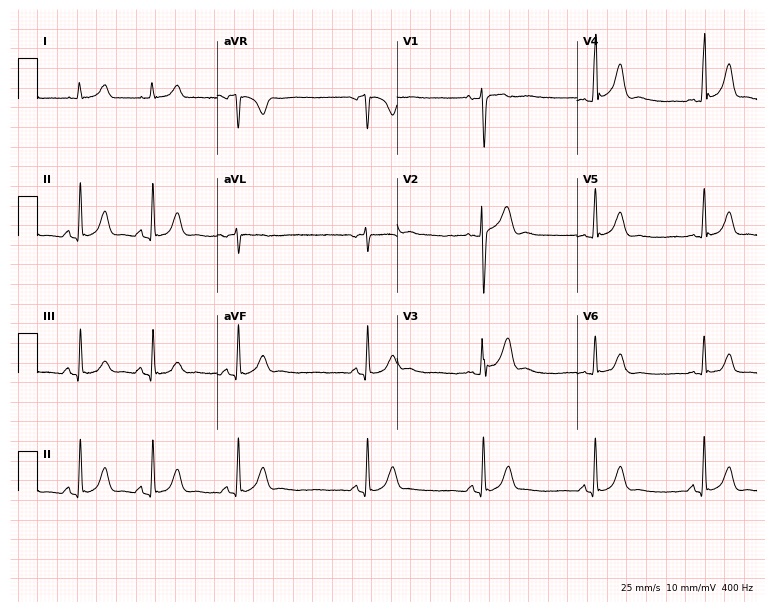
12-lead ECG from a man, 29 years old (7.3-second recording at 400 Hz). Recorded interpretation: within normal limits.